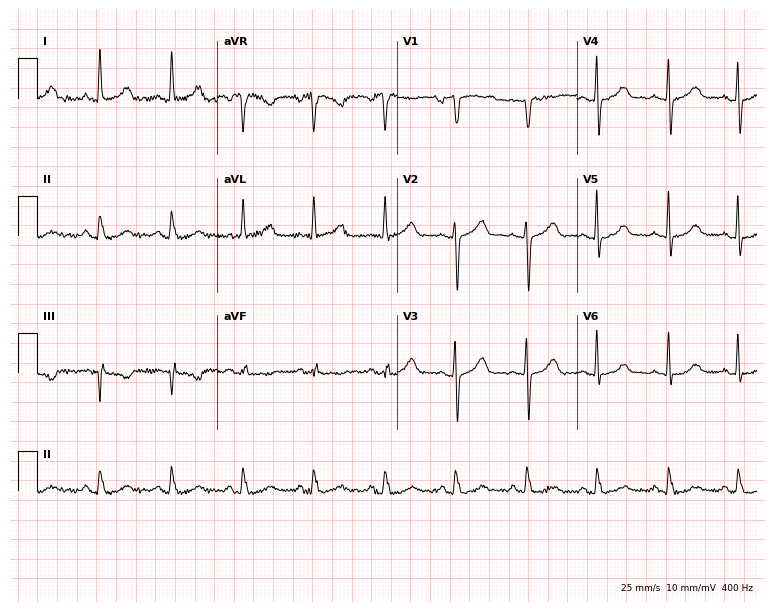
Standard 12-lead ECG recorded from a 57-year-old female patient. Read as a normal ECG.